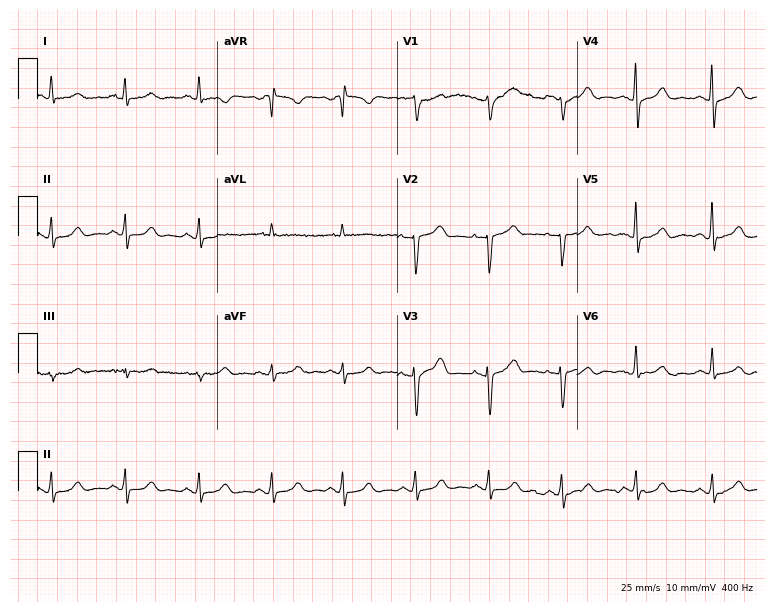
ECG — a female, 50 years old. Labelled as a normal ECG.